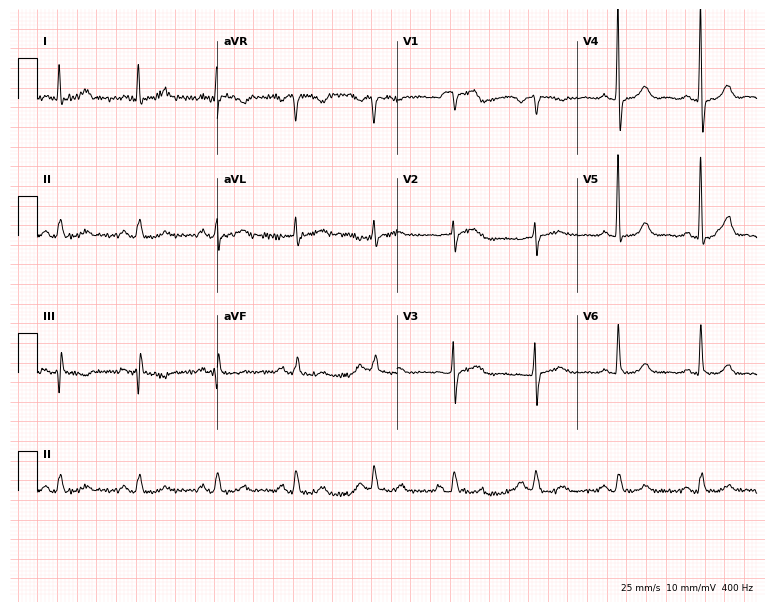
12-lead ECG (7.3-second recording at 400 Hz) from a female patient, 79 years old. Labelled as a normal ECG.